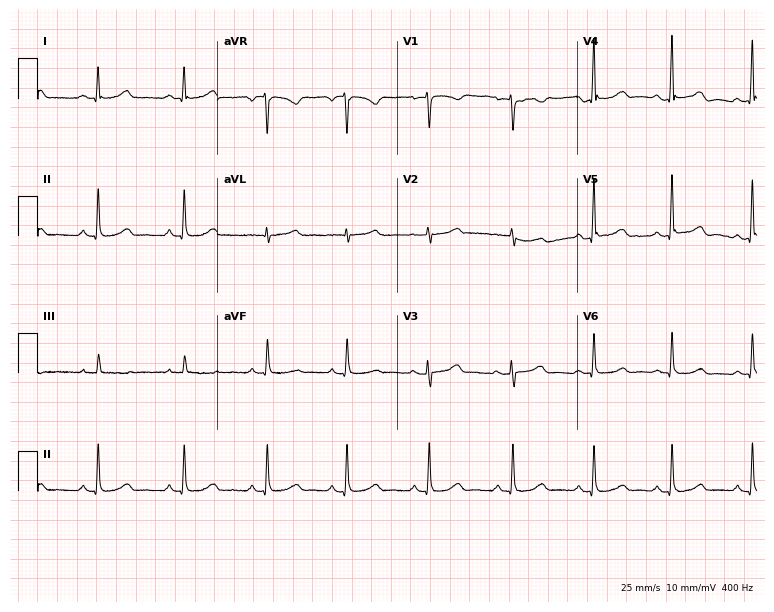
Electrocardiogram (7.3-second recording at 400 Hz), a female, 62 years old. Overall reading on record: normal ECG.